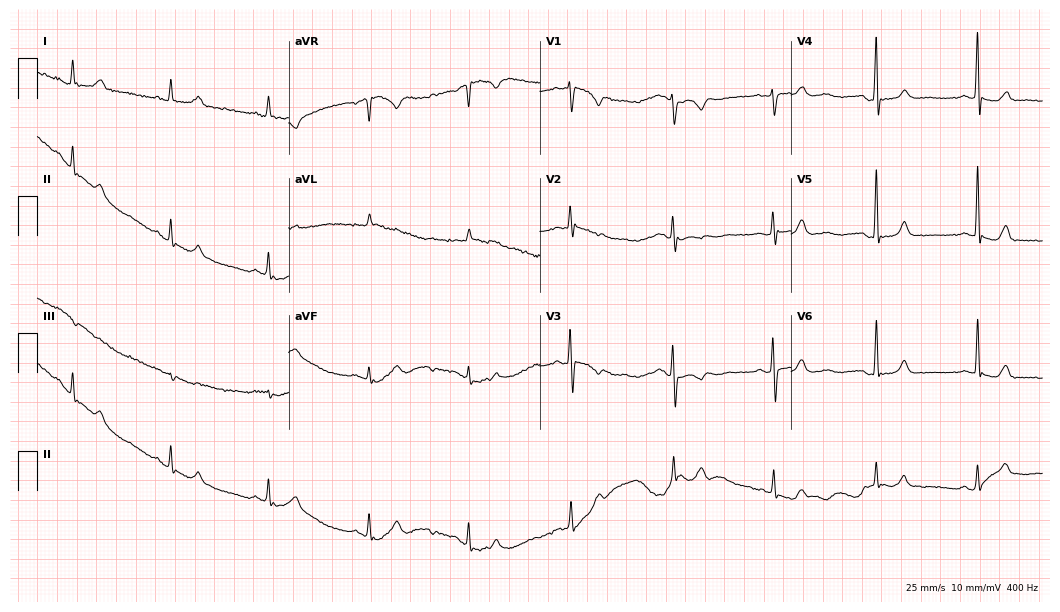
Electrocardiogram (10.2-second recording at 400 Hz), a 52-year-old female. Of the six screened findings (first-degree AV block, right bundle branch block, left bundle branch block, sinus bradycardia, atrial fibrillation, sinus tachycardia), none is recorded. Findings outside these six are not listed.